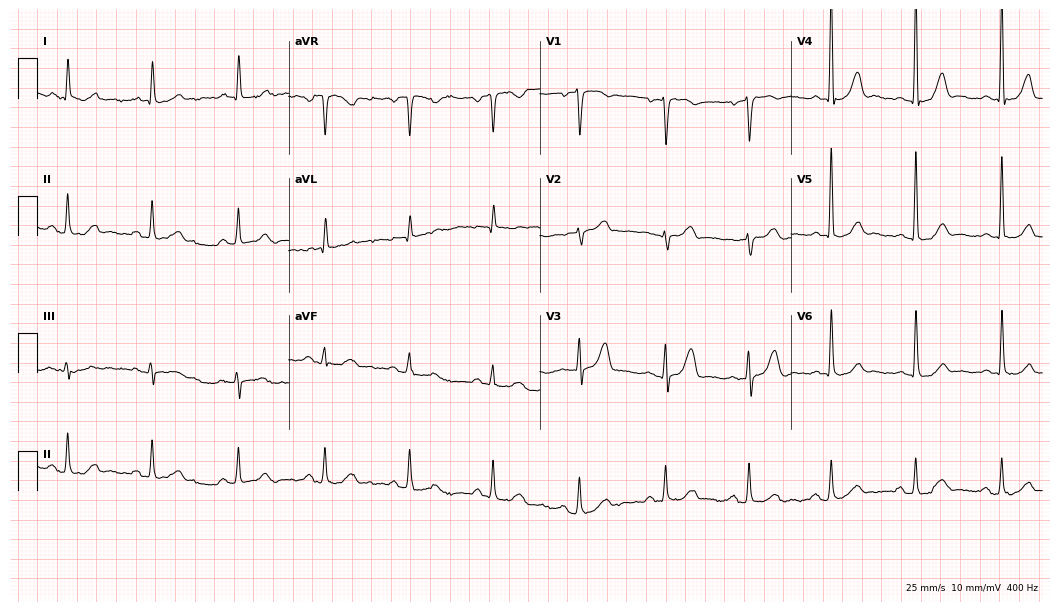
Resting 12-lead electrocardiogram (10.2-second recording at 400 Hz). Patient: a 74-year-old female. Read as a normal ECG.